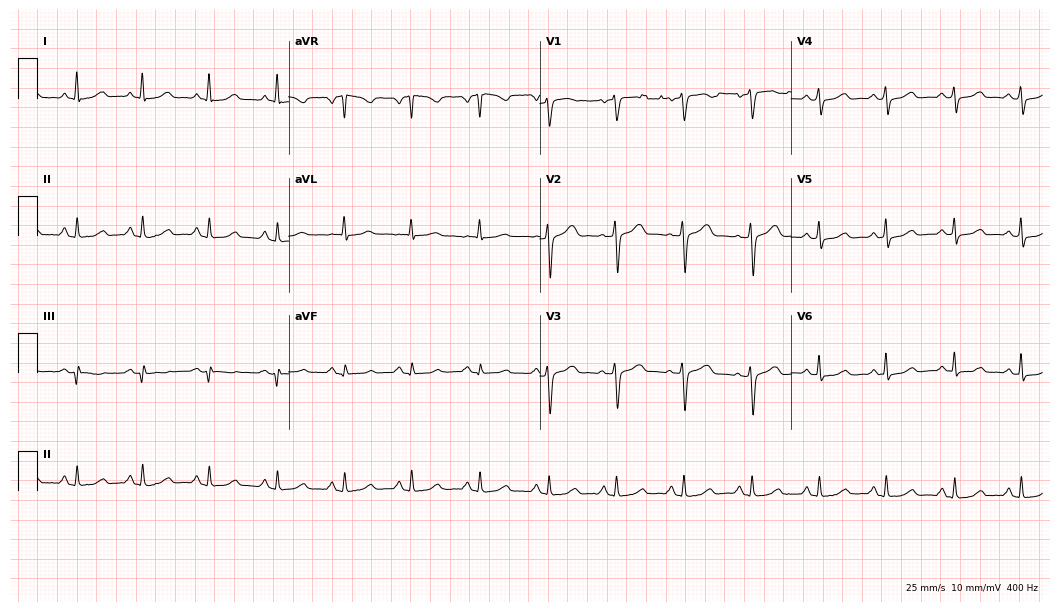
Electrocardiogram, a woman, 51 years old. Overall reading on record: normal ECG.